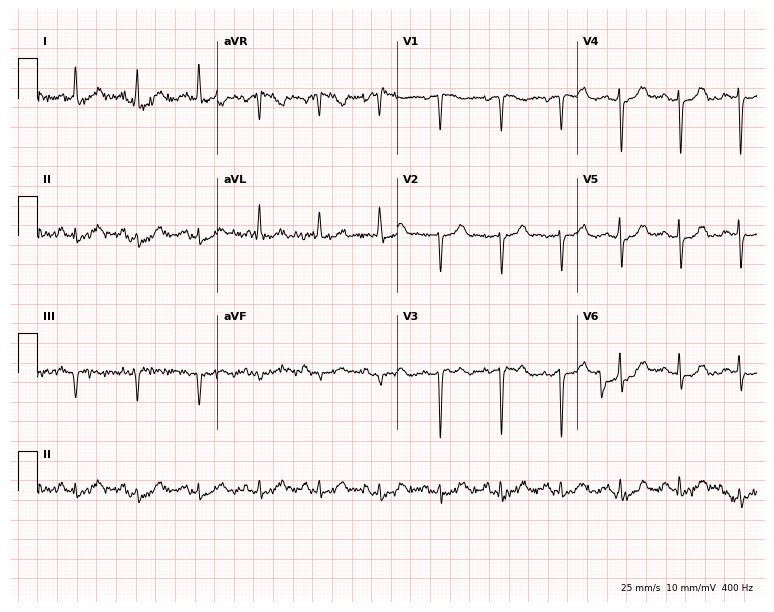
12-lead ECG from a female patient, 67 years old. No first-degree AV block, right bundle branch block, left bundle branch block, sinus bradycardia, atrial fibrillation or sinus tachycardia recorded for this tracing. Only these six findings were labelled.